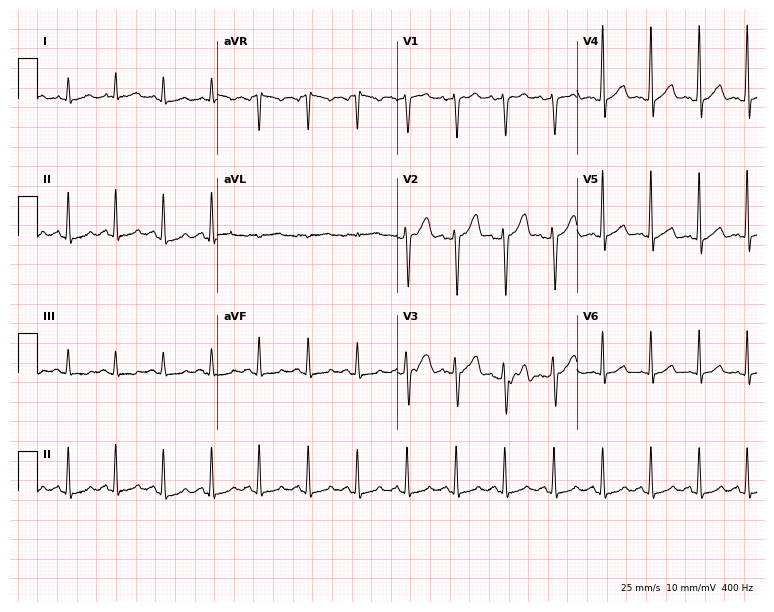
ECG (7.3-second recording at 400 Hz) — a male patient, 56 years old. Findings include sinus tachycardia (a sinus rate of 100 beats per minute or more).